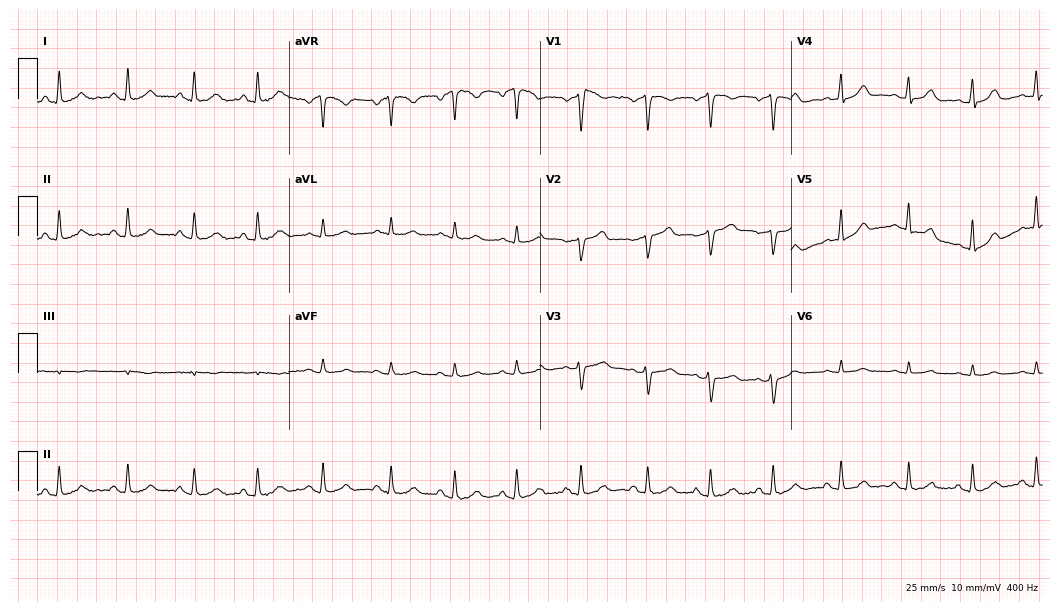
Resting 12-lead electrocardiogram (10.2-second recording at 400 Hz). Patient: a 46-year-old woman. Read as a normal ECG.